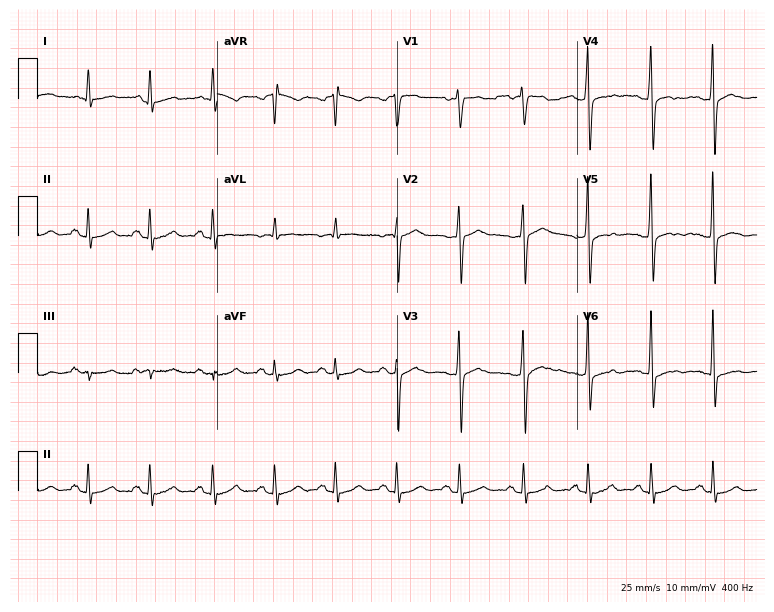
Standard 12-lead ECG recorded from a 69-year-old male. None of these six findings is recorded: first-degree AV block, right bundle branch block, left bundle branch block, sinus bradycardia, atrial fibrillation, sinus tachycardia.